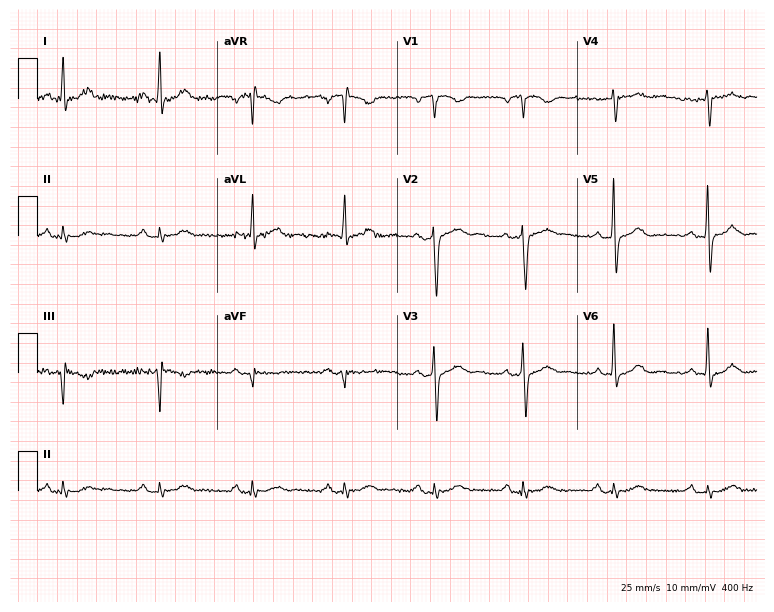
ECG (7.3-second recording at 400 Hz) — a man, 55 years old. Screened for six findings — first-degree AV block, right bundle branch block, left bundle branch block, sinus bradycardia, atrial fibrillation, sinus tachycardia — none is recorded.